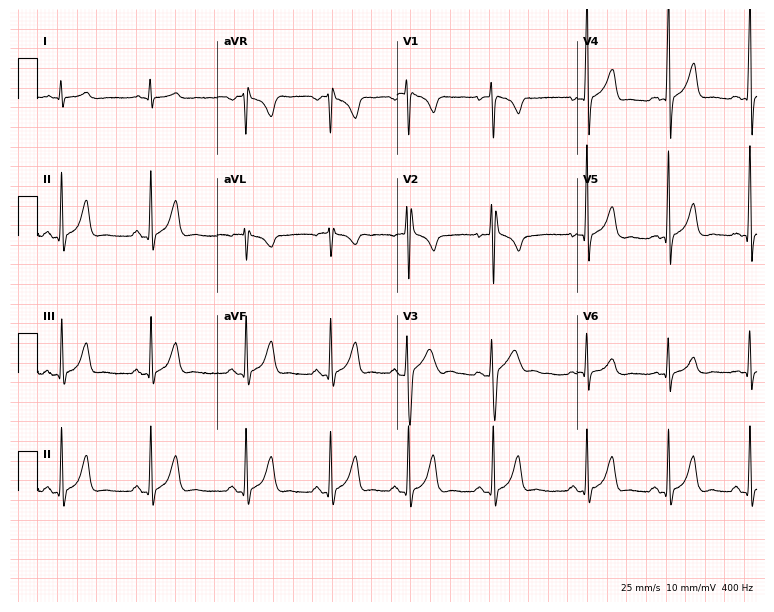
ECG (7.3-second recording at 400 Hz) — a male, 18 years old. Screened for six findings — first-degree AV block, right bundle branch block (RBBB), left bundle branch block (LBBB), sinus bradycardia, atrial fibrillation (AF), sinus tachycardia — none is recorded.